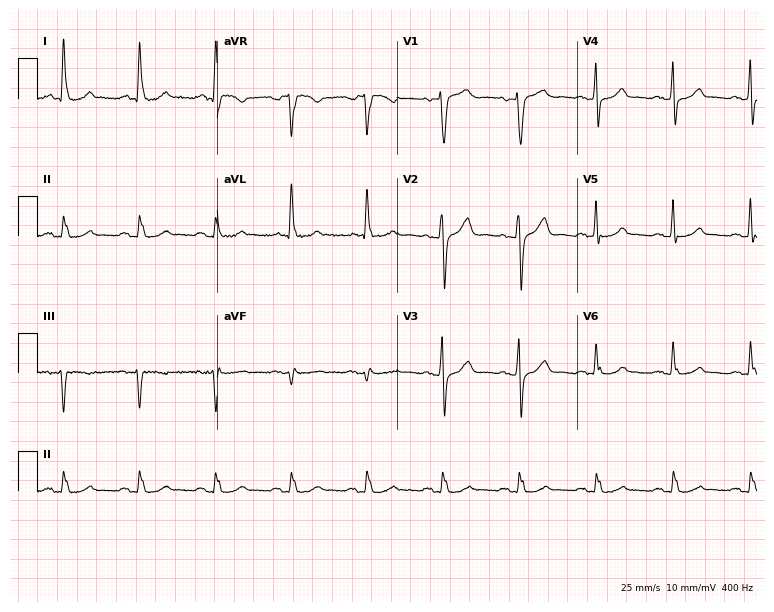
Resting 12-lead electrocardiogram. Patient: a 57-year-old female. Read as a normal ECG.